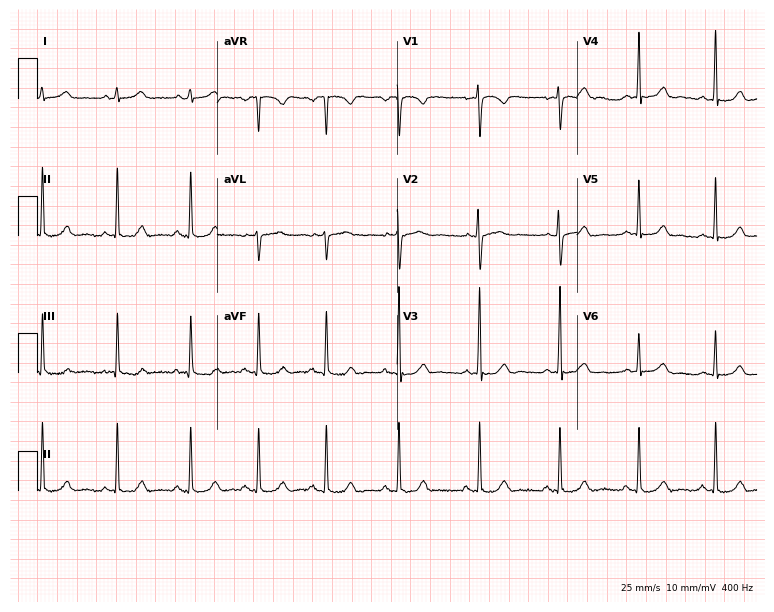
Electrocardiogram (7.3-second recording at 400 Hz), a 23-year-old woman. Overall reading on record: normal ECG.